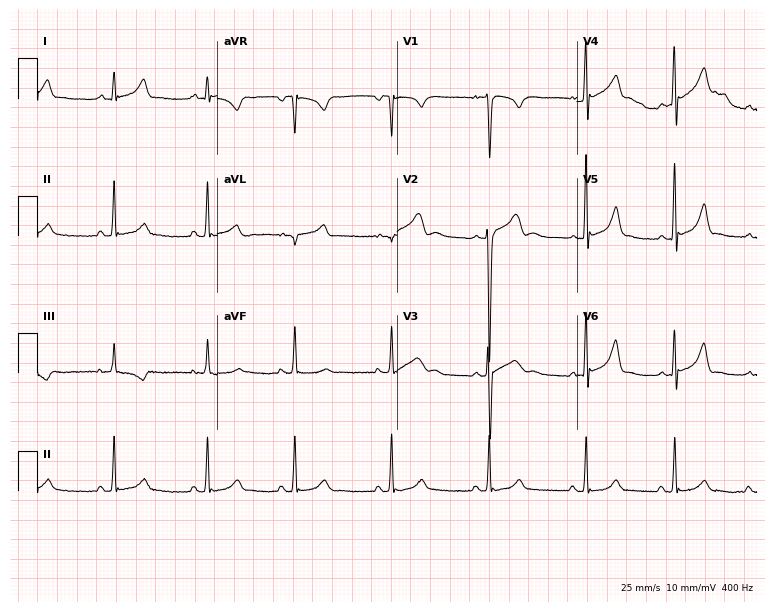
ECG (7.3-second recording at 400 Hz) — a male patient, 23 years old. Labelled as a normal ECG.